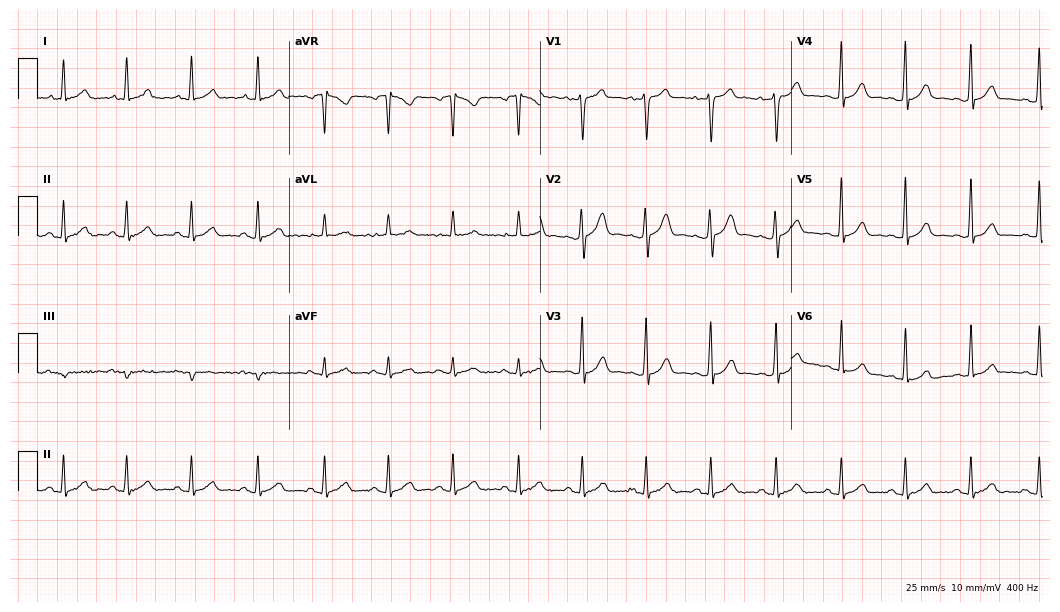
12-lead ECG from a male patient, 26 years old (10.2-second recording at 400 Hz). Recorded interpretation: within normal limits.